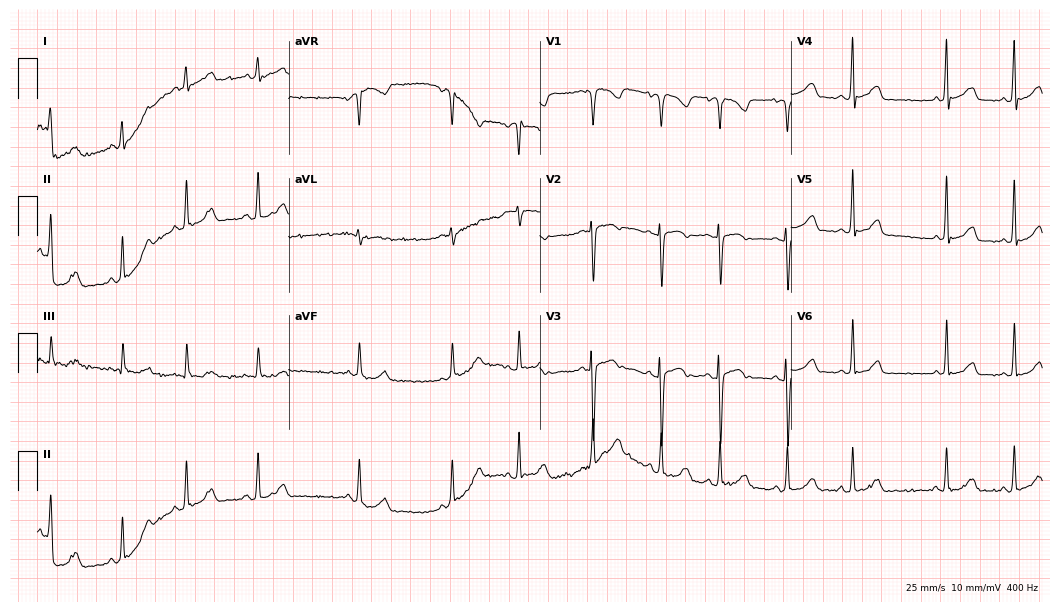
ECG — a 60-year-old male. Labelled as a normal ECG.